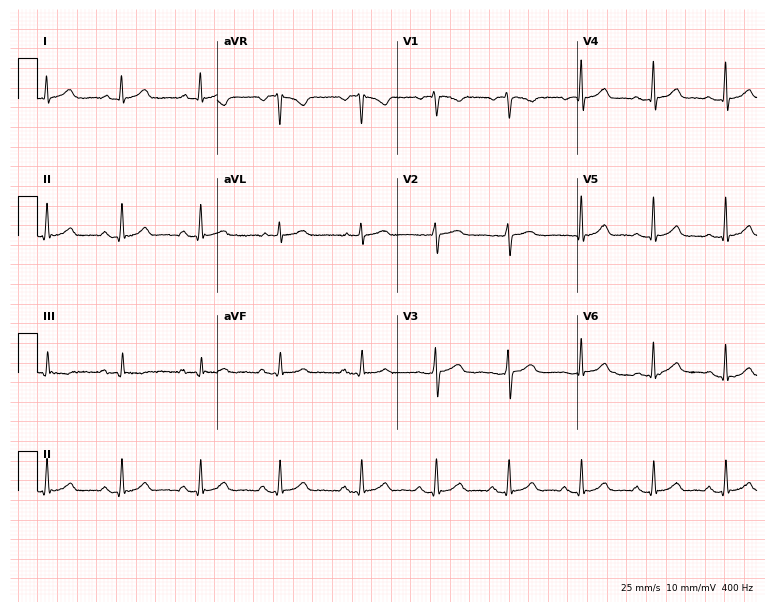
12-lead ECG from a 64-year-old female (7.3-second recording at 400 Hz). Recorded interpretation: within normal limits.